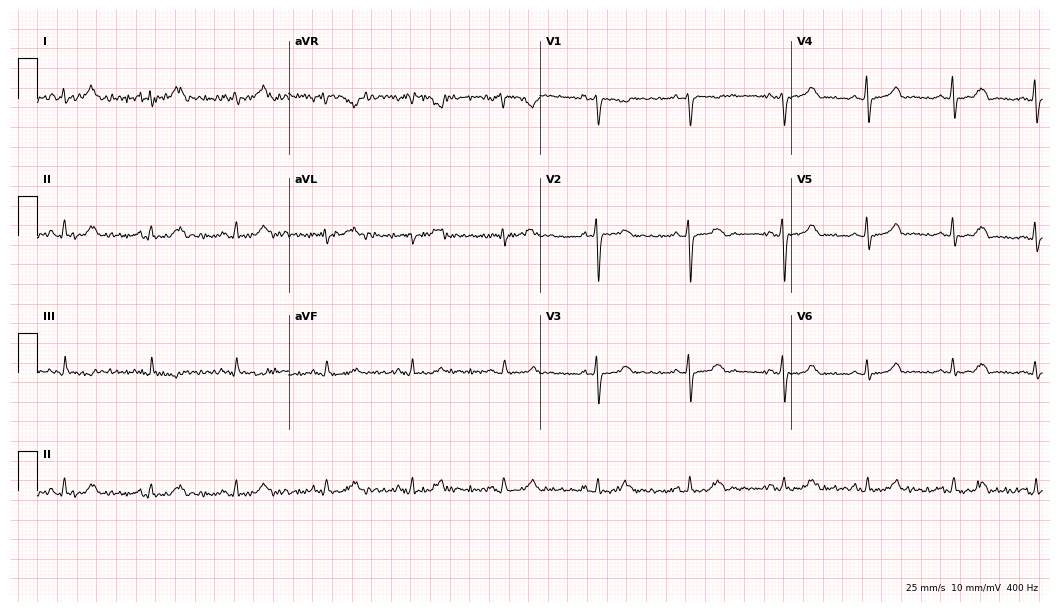
12-lead ECG from a female patient, 45 years old. Labelled as a normal ECG.